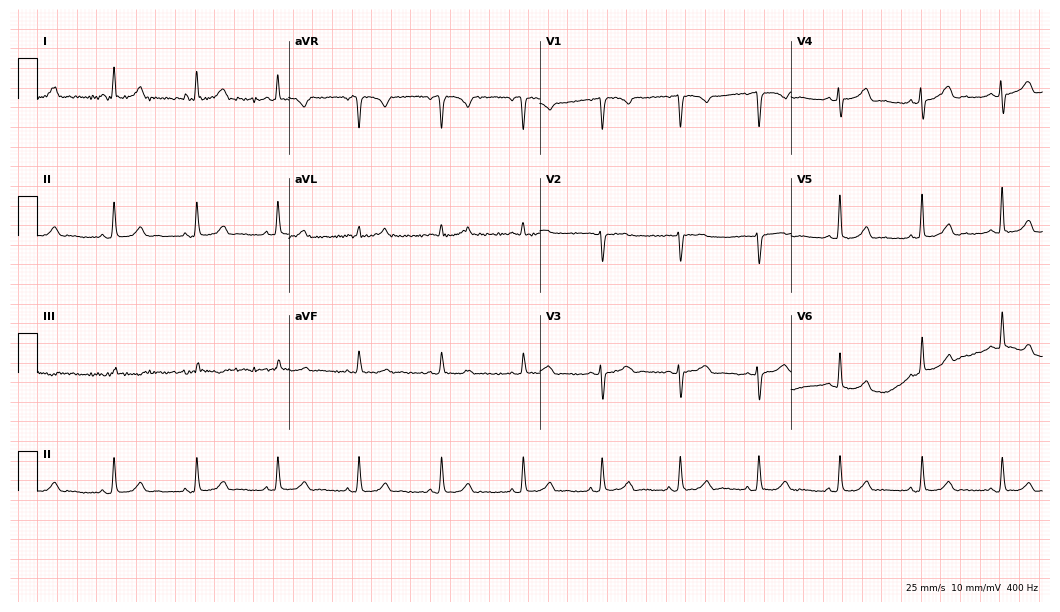
12-lead ECG from a woman, 43 years old. Recorded interpretation: within normal limits.